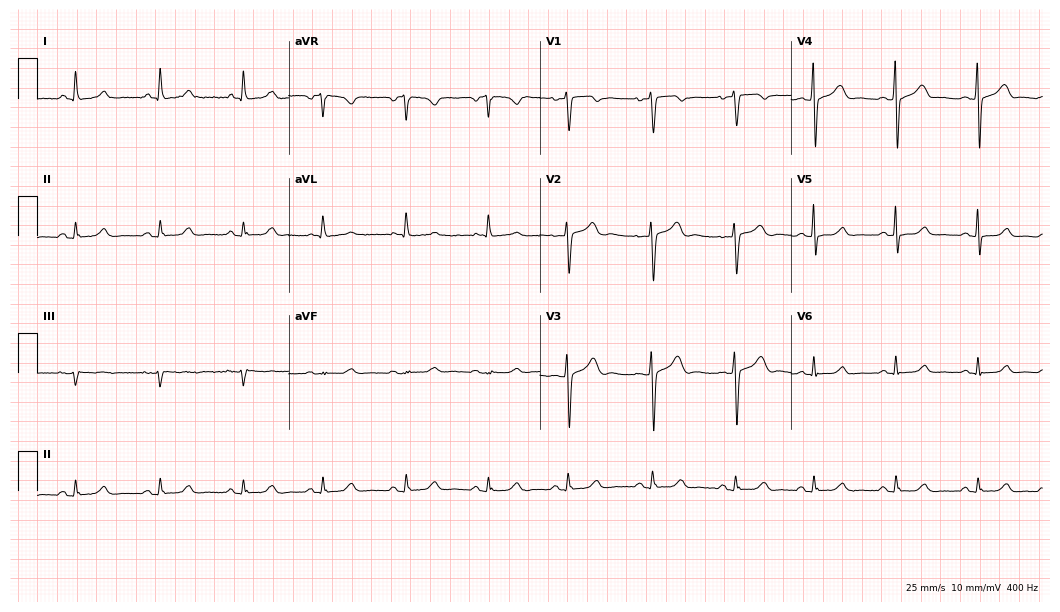
12-lead ECG from a female patient, 46 years old. Labelled as a normal ECG.